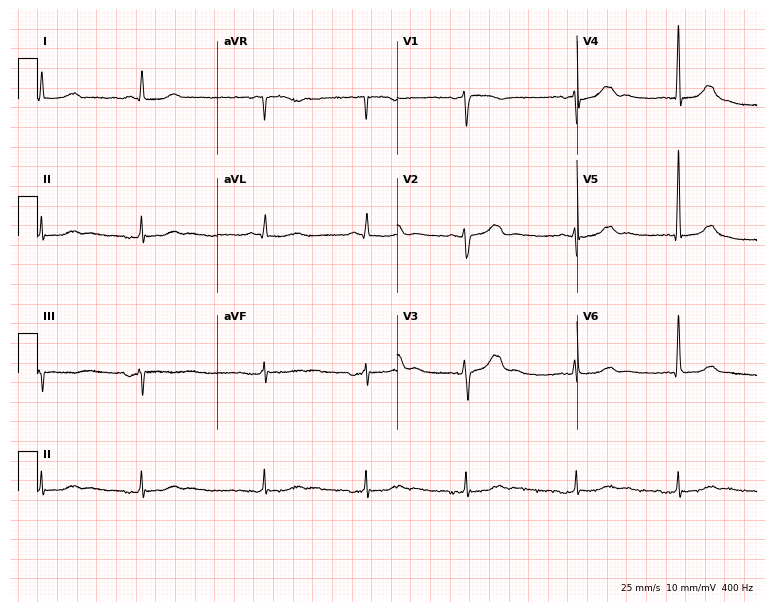
Resting 12-lead electrocardiogram (7.3-second recording at 400 Hz). Patient: a 57-year-old woman. Read as a normal ECG.